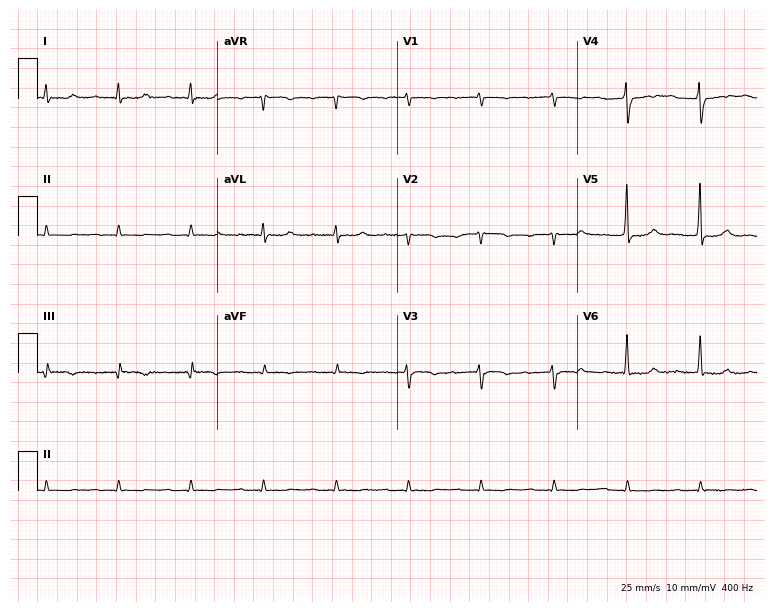
12-lead ECG from a man, 49 years old. Shows first-degree AV block.